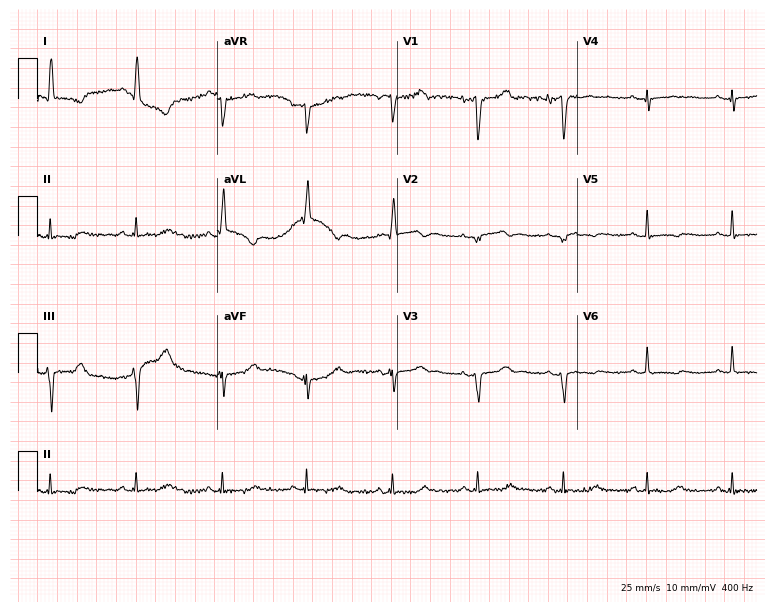
Standard 12-lead ECG recorded from a 39-year-old woman (7.3-second recording at 400 Hz). None of these six findings is recorded: first-degree AV block, right bundle branch block, left bundle branch block, sinus bradycardia, atrial fibrillation, sinus tachycardia.